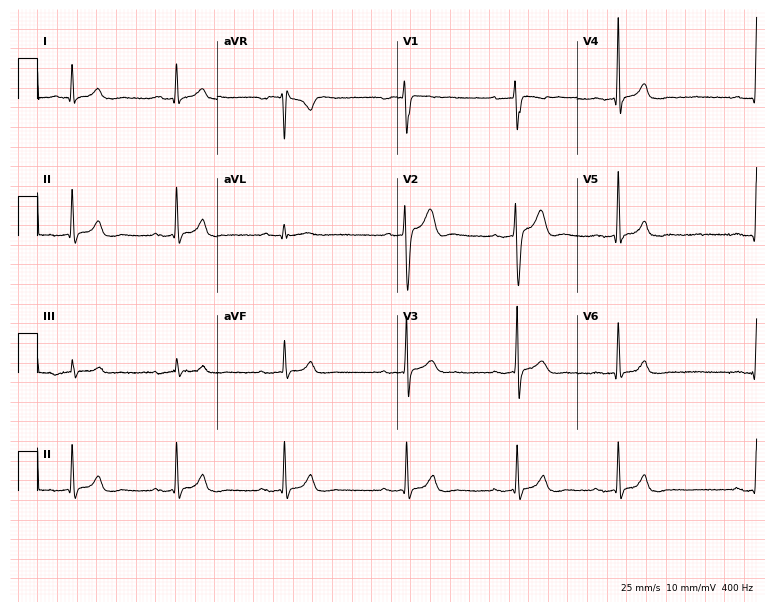
12-lead ECG from a 27-year-old man. Labelled as a normal ECG.